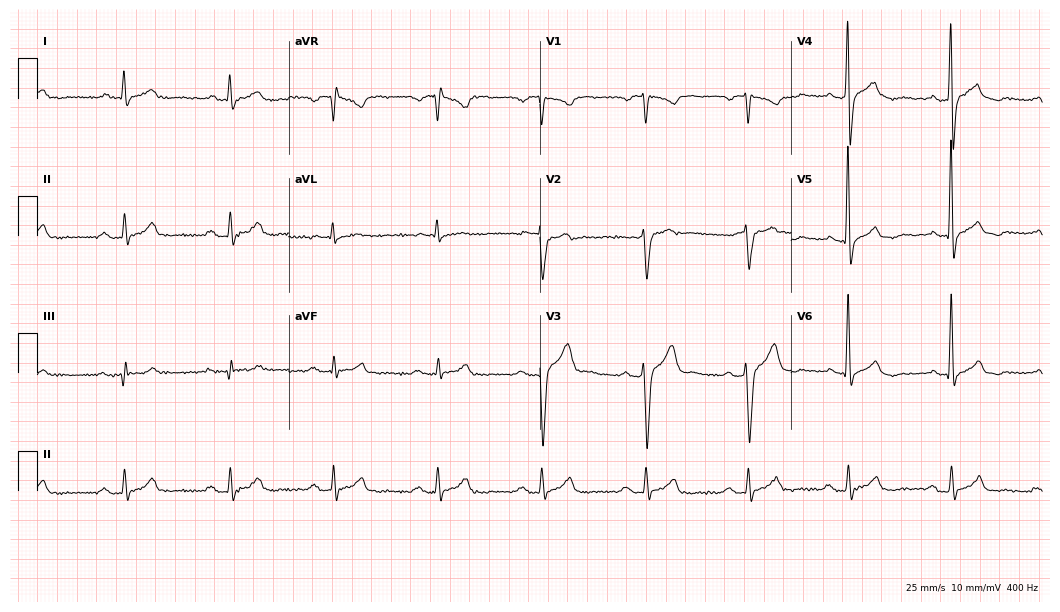
Resting 12-lead electrocardiogram (10.2-second recording at 400 Hz). Patient: a 56-year-old male. The tracing shows first-degree AV block.